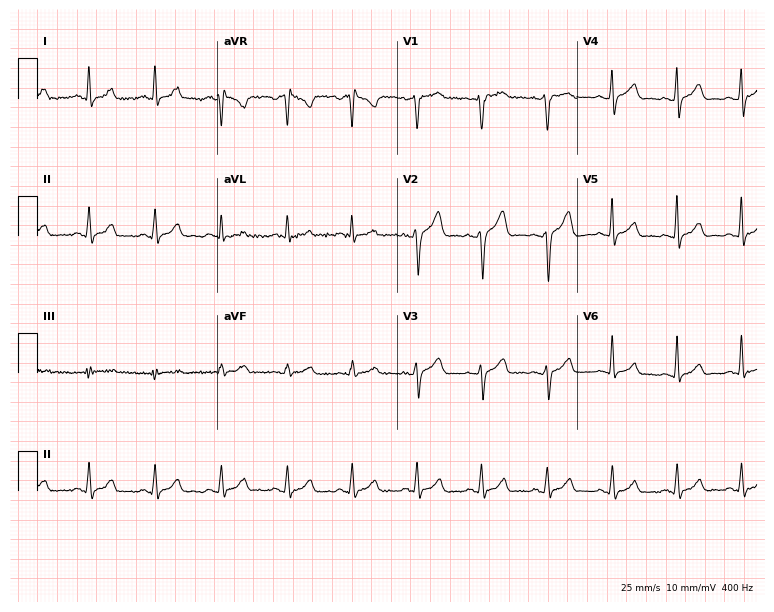
12-lead ECG (7.3-second recording at 400 Hz) from a 49-year-old male. Labelled as a normal ECG.